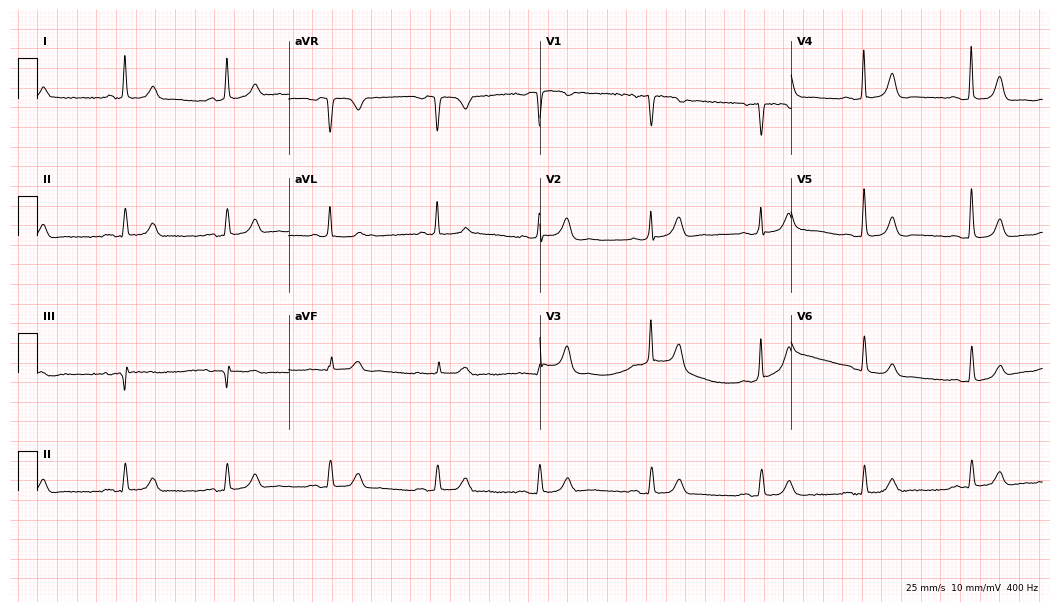
Standard 12-lead ECG recorded from a female patient, 83 years old. Read as a normal ECG.